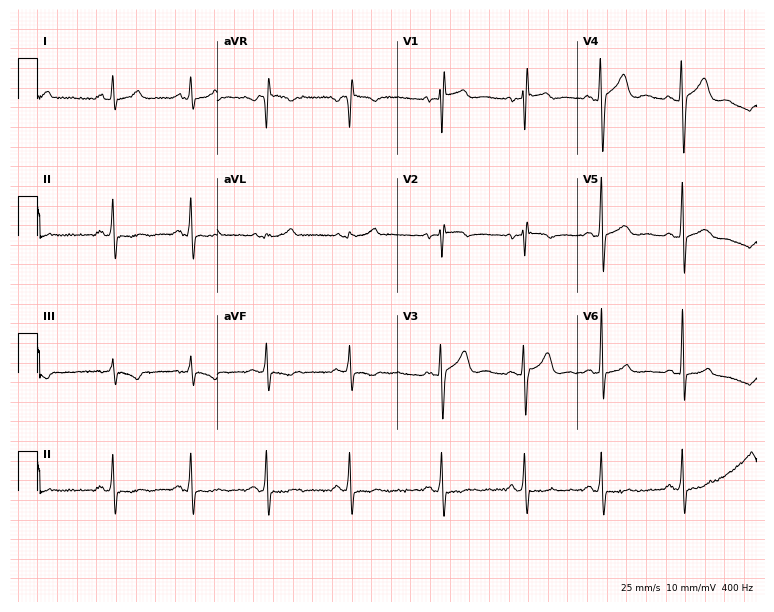
ECG — a 20-year-old male patient. Screened for six findings — first-degree AV block, right bundle branch block, left bundle branch block, sinus bradycardia, atrial fibrillation, sinus tachycardia — none is recorded. Findings outside these six are not listed.